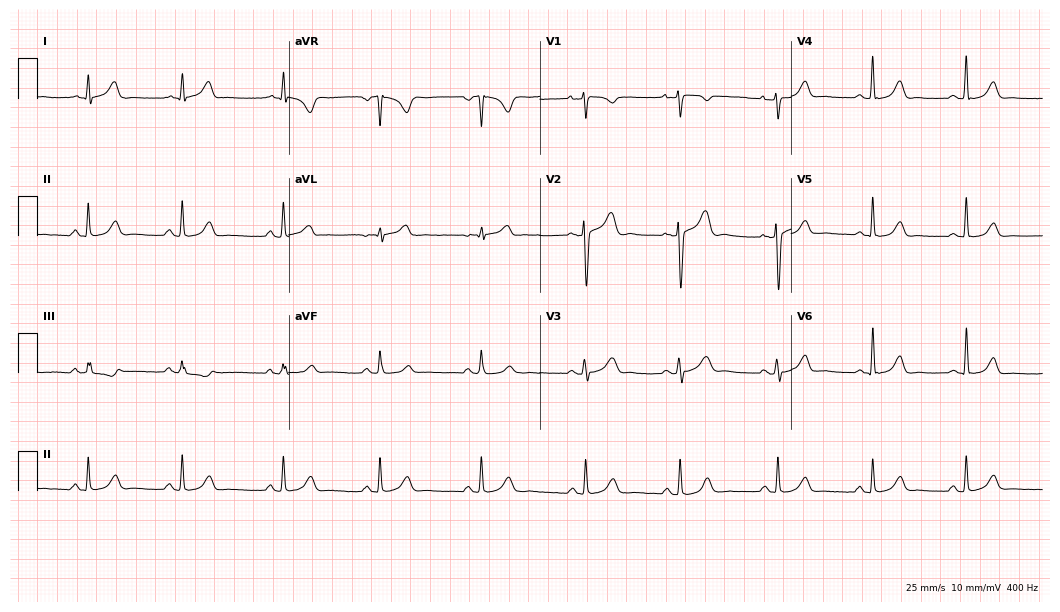
Electrocardiogram (10.2-second recording at 400 Hz), a female, 29 years old. Of the six screened findings (first-degree AV block, right bundle branch block (RBBB), left bundle branch block (LBBB), sinus bradycardia, atrial fibrillation (AF), sinus tachycardia), none is recorded.